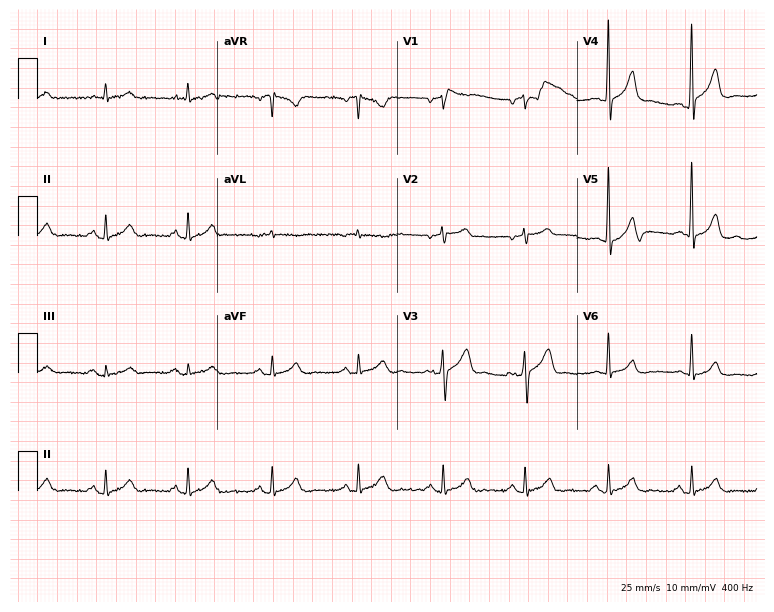
ECG (7.3-second recording at 400 Hz) — a male, 43 years old. Labelled as a normal ECG.